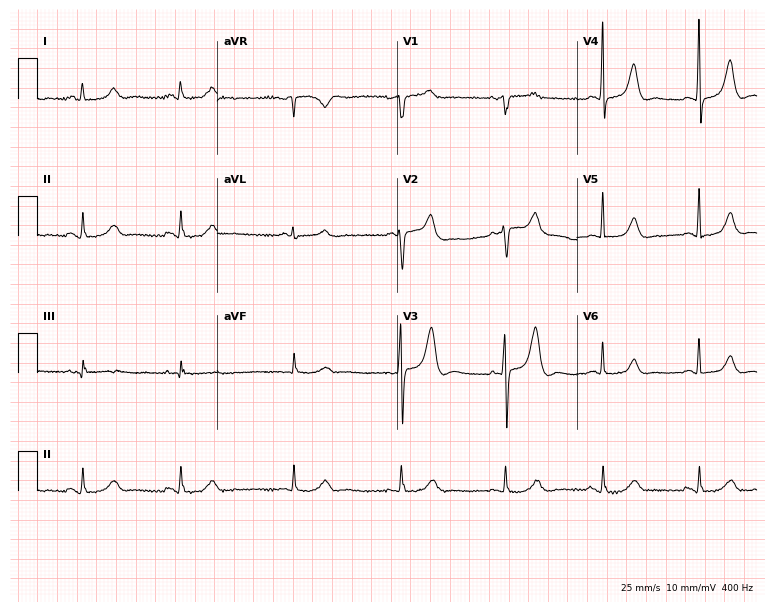
Resting 12-lead electrocardiogram (7.3-second recording at 400 Hz). Patient: a female, 74 years old. None of these six findings is recorded: first-degree AV block, right bundle branch block, left bundle branch block, sinus bradycardia, atrial fibrillation, sinus tachycardia. Only these six findings were labelled.